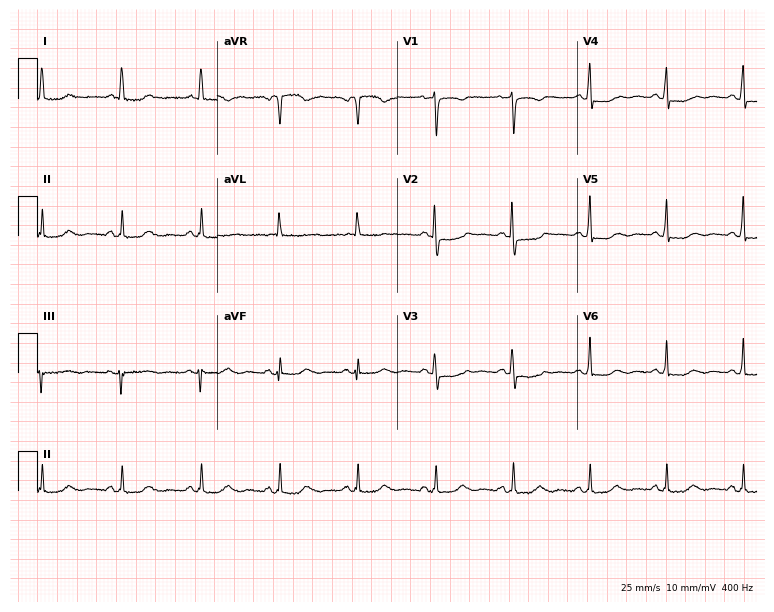
12-lead ECG from a 78-year-old female patient. No first-degree AV block, right bundle branch block, left bundle branch block, sinus bradycardia, atrial fibrillation or sinus tachycardia recorded for this tracing. Other findings, if any, are not listed.